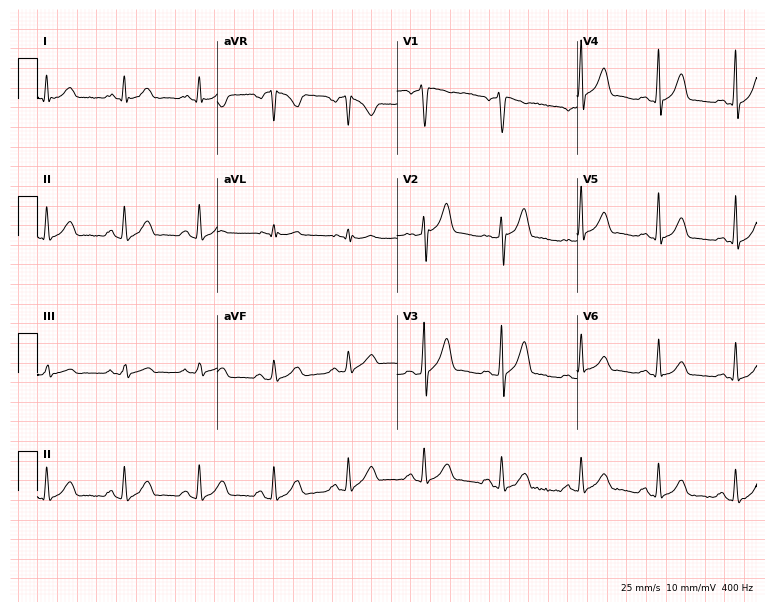
Electrocardiogram (7.3-second recording at 400 Hz), a 27-year-old male. Of the six screened findings (first-degree AV block, right bundle branch block (RBBB), left bundle branch block (LBBB), sinus bradycardia, atrial fibrillation (AF), sinus tachycardia), none is recorded.